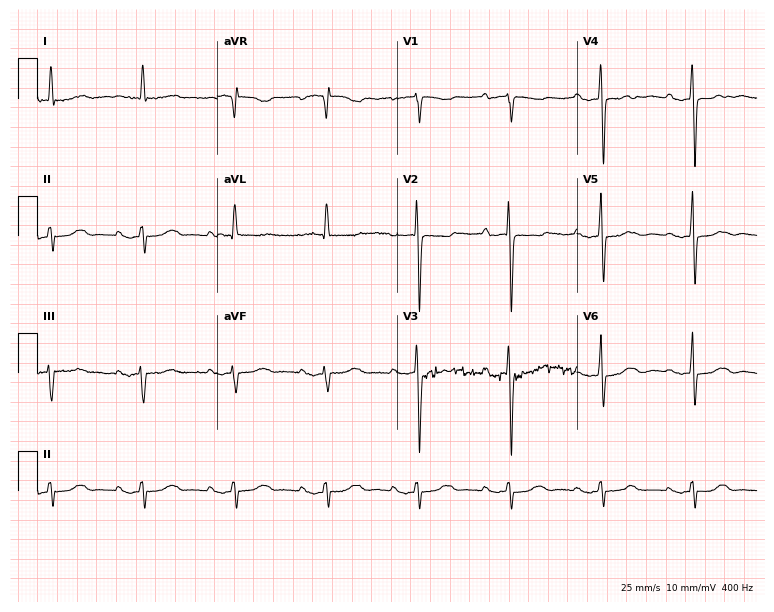
Resting 12-lead electrocardiogram (7.3-second recording at 400 Hz). Patient: a woman, 86 years old. None of these six findings is recorded: first-degree AV block, right bundle branch block (RBBB), left bundle branch block (LBBB), sinus bradycardia, atrial fibrillation (AF), sinus tachycardia. Other findings, if any, are not listed.